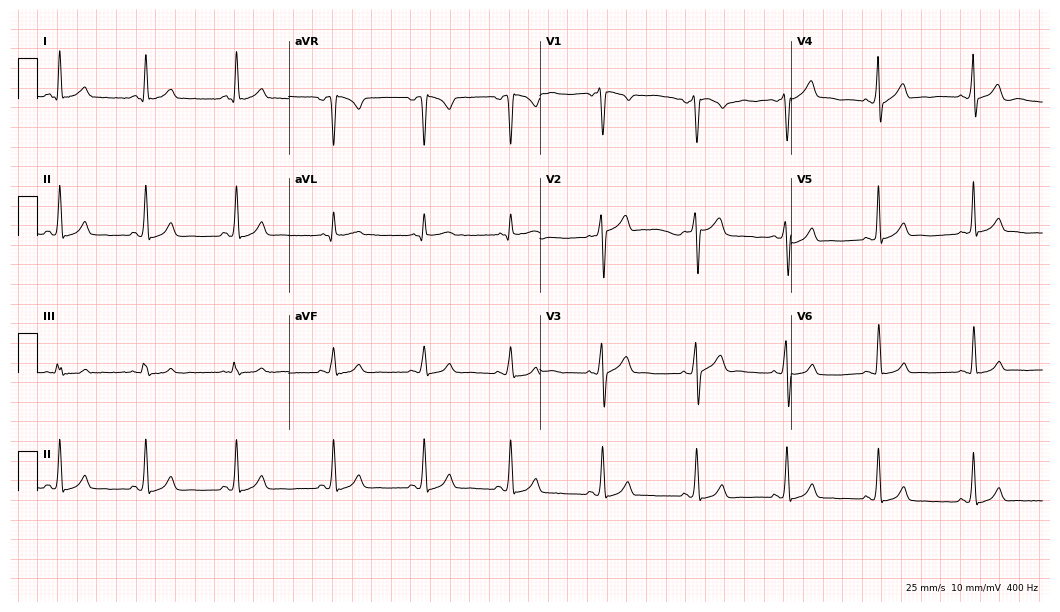
ECG — a 23-year-old man. Labelled as a normal ECG.